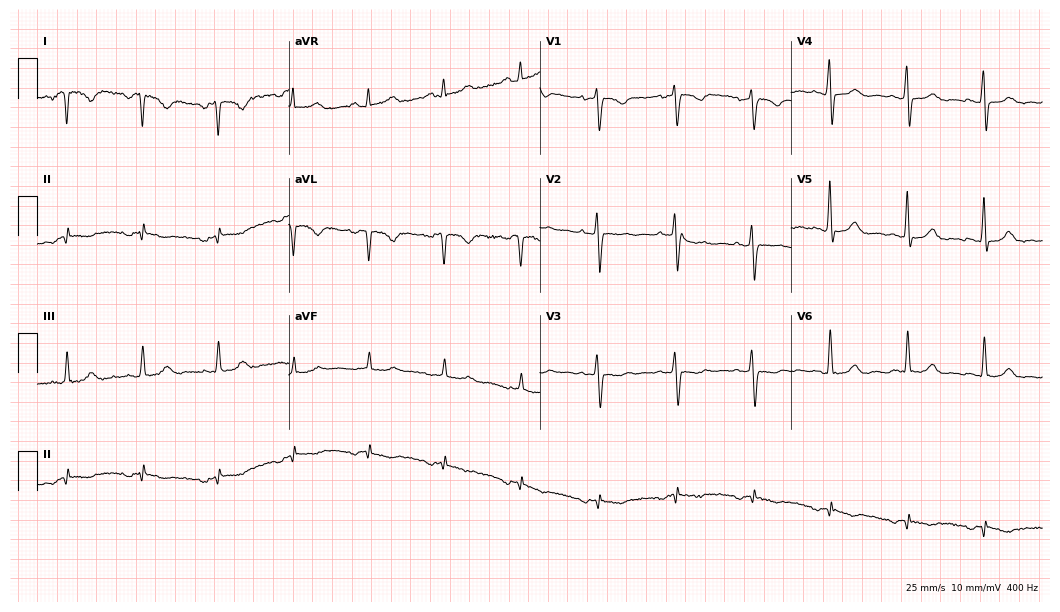
12-lead ECG (10.2-second recording at 400 Hz) from a female patient, 52 years old. Screened for six findings — first-degree AV block, right bundle branch block, left bundle branch block, sinus bradycardia, atrial fibrillation, sinus tachycardia — none is recorded.